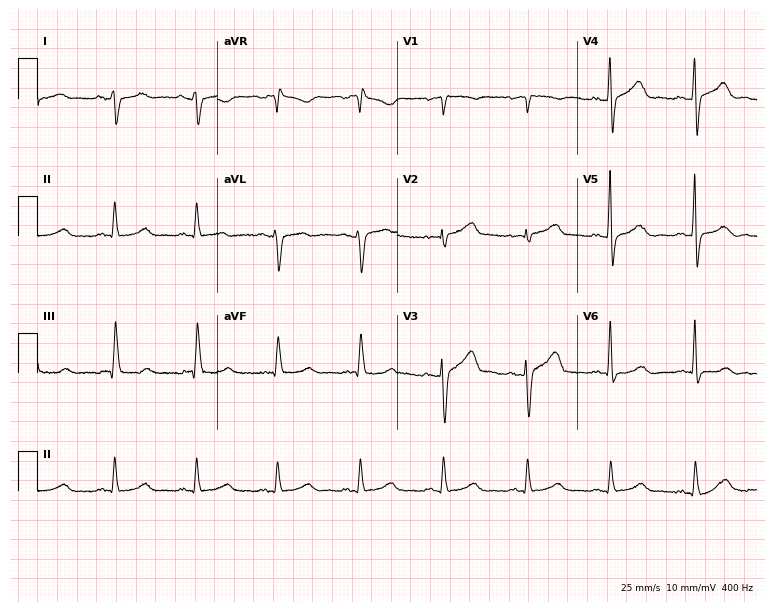
Electrocardiogram, a man, 81 years old. Overall reading on record: normal ECG.